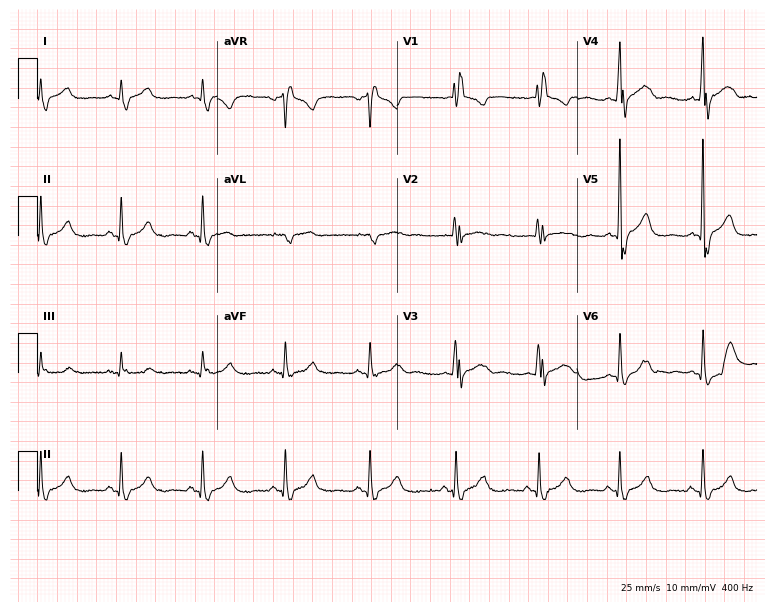
Standard 12-lead ECG recorded from a male, 51 years old. The tracing shows right bundle branch block.